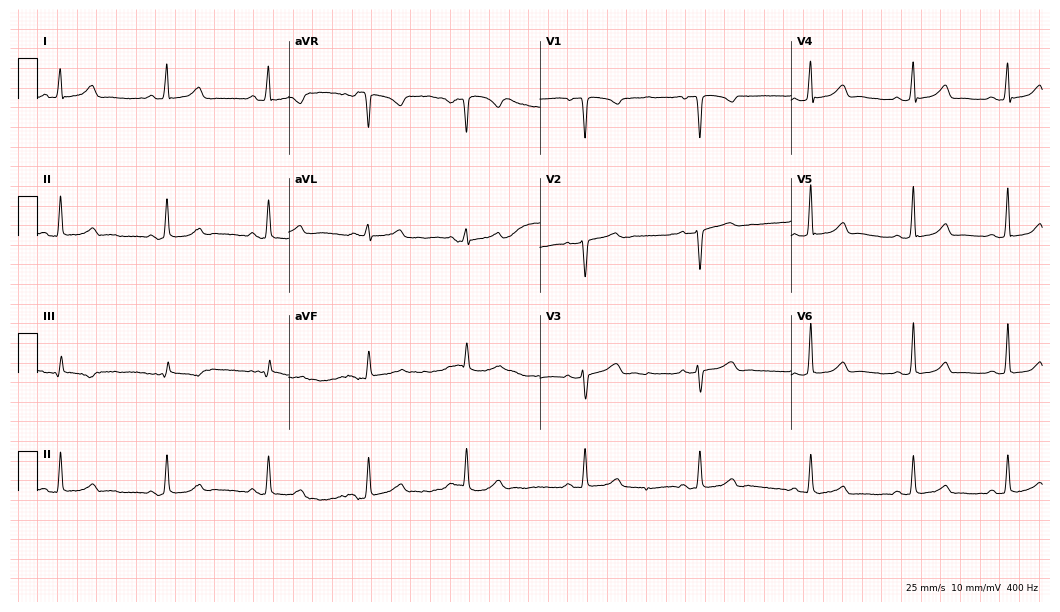
Standard 12-lead ECG recorded from a woman, 29 years old (10.2-second recording at 400 Hz). None of these six findings is recorded: first-degree AV block, right bundle branch block, left bundle branch block, sinus bradycardia, atrial fibrillation, sinus tachycardia. Findings outside these six are not listed.